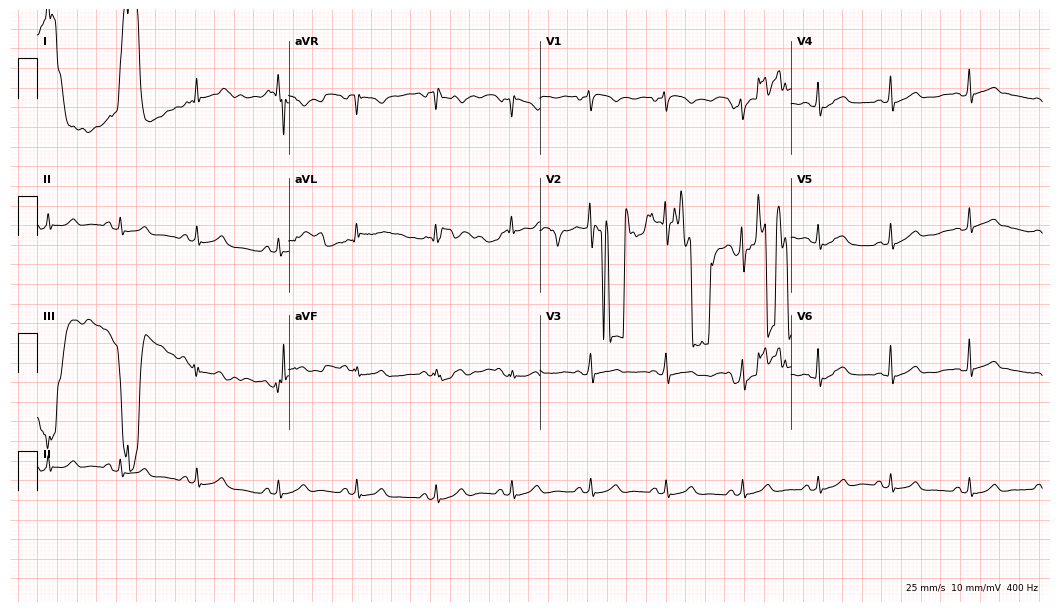
12-lead ECG from a 30-year-old female. No first-degree AV block, right bundle branch block, left bundle branch block, sinus bradycardia, atrial fibrillation or sinus tachycardia recorded for this tracing. Other findings, if any, are not listed.